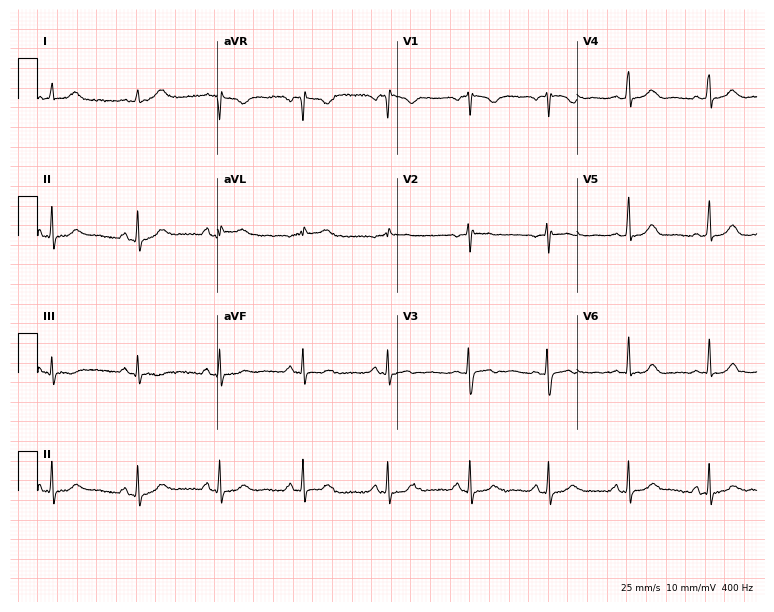
12-lead ECG (7.3-second recording at 400 Hz) from a 36-year-old woman. Labelled as a normal ECG.